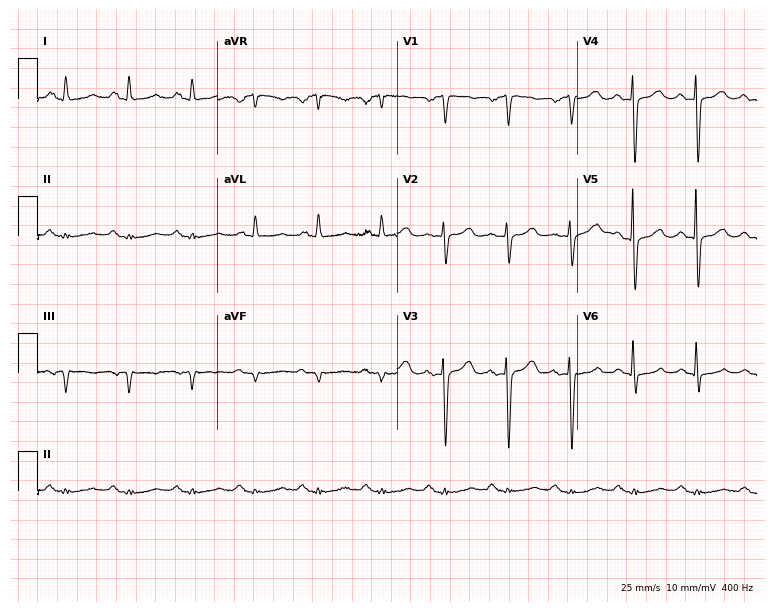
12-lead ECG from an 80-year-old woman. Recorded interpretation: within normal limits.